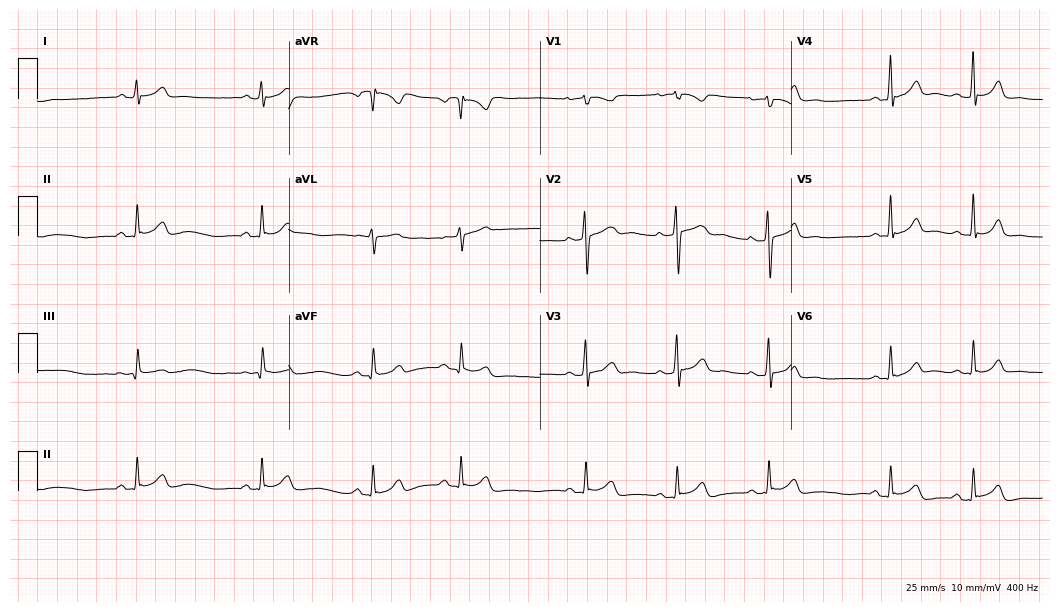
ECG — a 50-year-old woman. Labelled as a normal ECG.